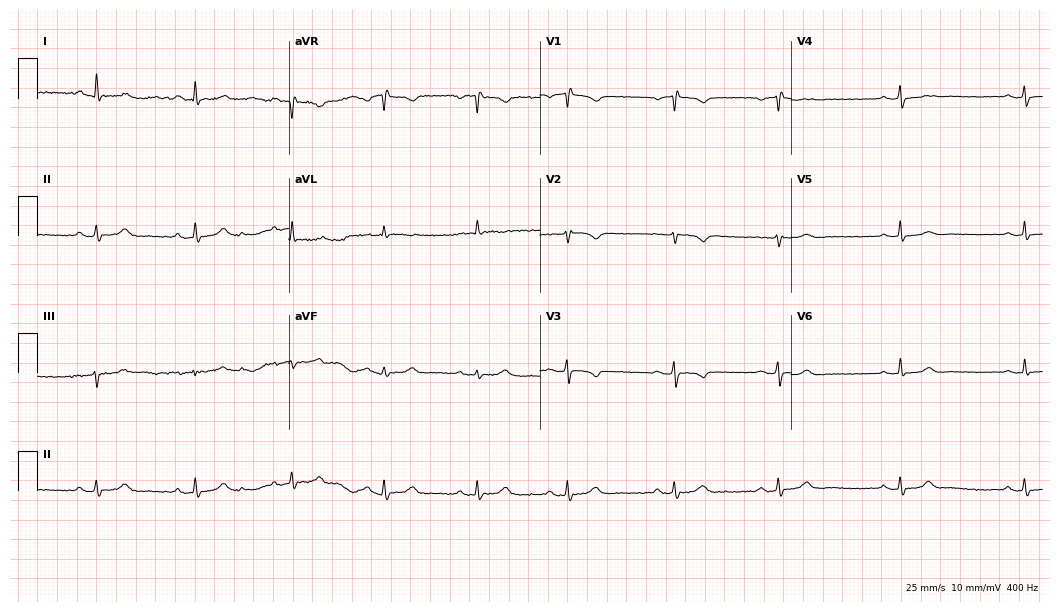
12-lead ECG from a 43-year-old woman. No first-degree AV block, right bundle branch block, left bundle branch block, sinus bradycardia, atrial fibrillation or sinus tachycardia recorded for this tracing.